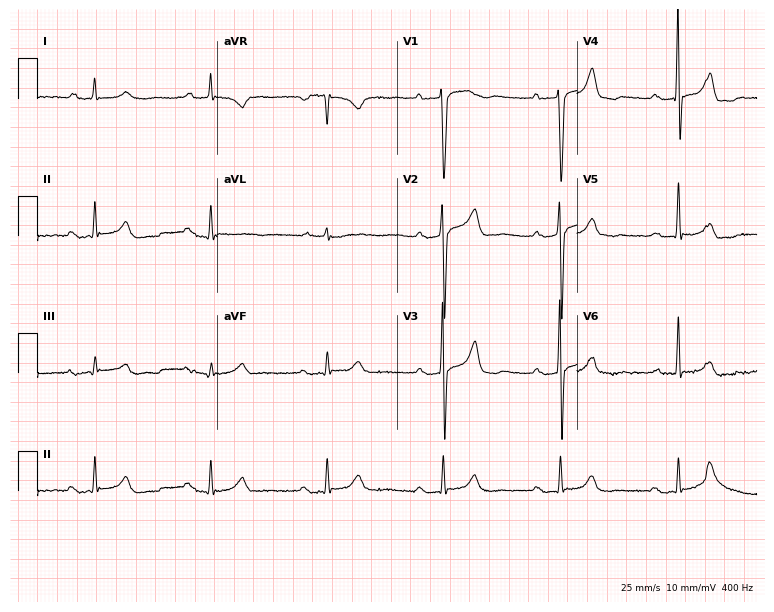
12-lead ECG from a male patient, 38 years old. Shows first-degree AV block.